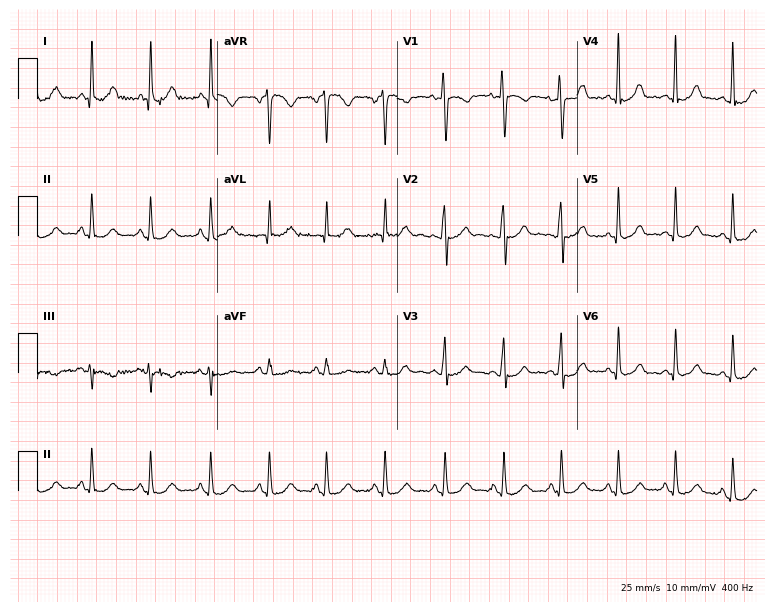
12-lead ECG from a female patient, 39 years old. Labelled as a normal ECG.